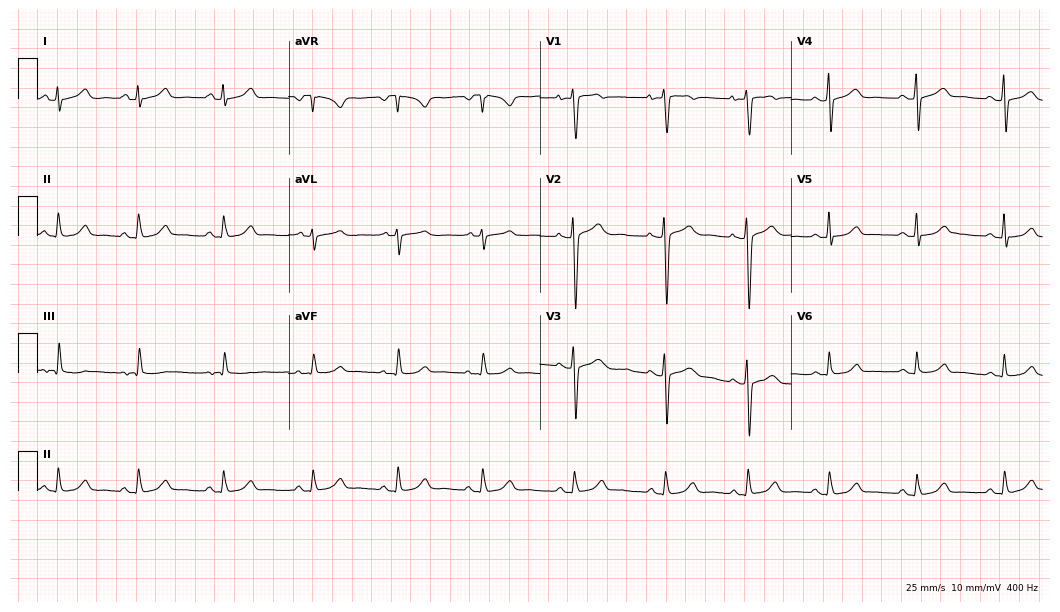
12-lead ECG from a 34-year-old woman (10.2-second recording at 400 Hz). Recorded interpretation: within normal limits.